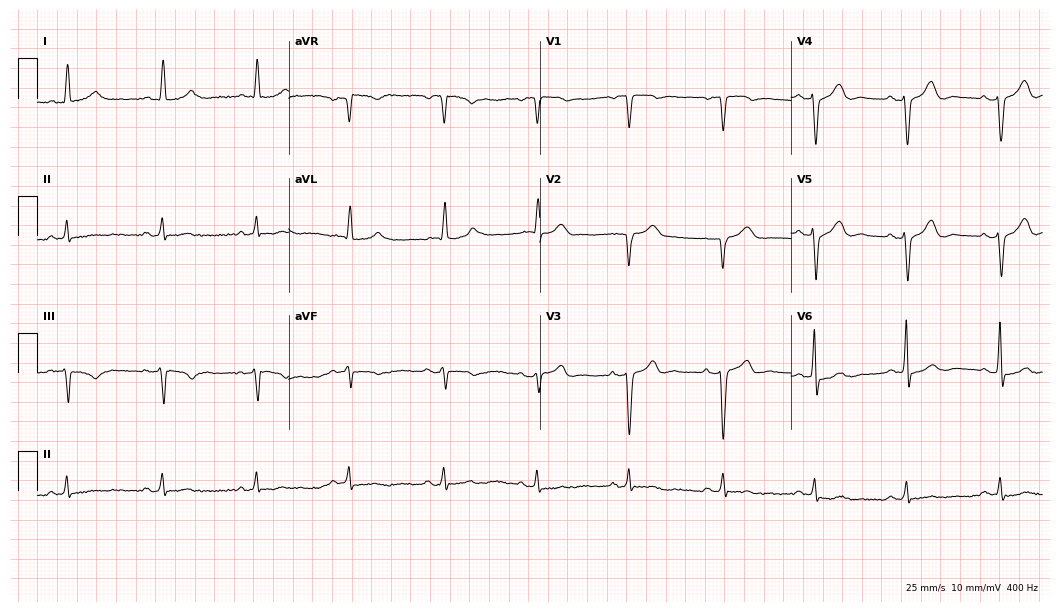
ECG (10.2-second recording at 400 Hz) — a male patient, 85 years old. Screened for six findings — first-degree AV block, right bundle branch block, left bundle branch block, sinus bradycardia, atrial fibrillation, sinus tachycardia — none is recorded. Findings outside these six are not listed.